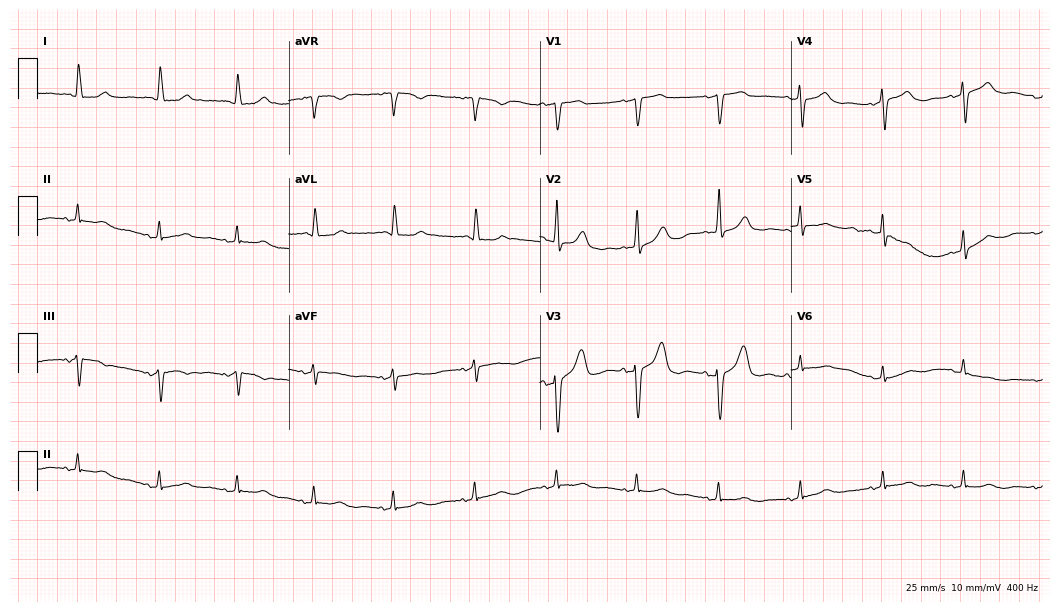
Resting 12-lead electrocardiogram (10.2-second recording at 400 Hz). Patient: a 78-year-old female. None of these six findings is recorded: first-degree AV block, right bundle branch block, left bundle branch block, sinus bradycardia, atrial fibrillation, sinus tachycardia.